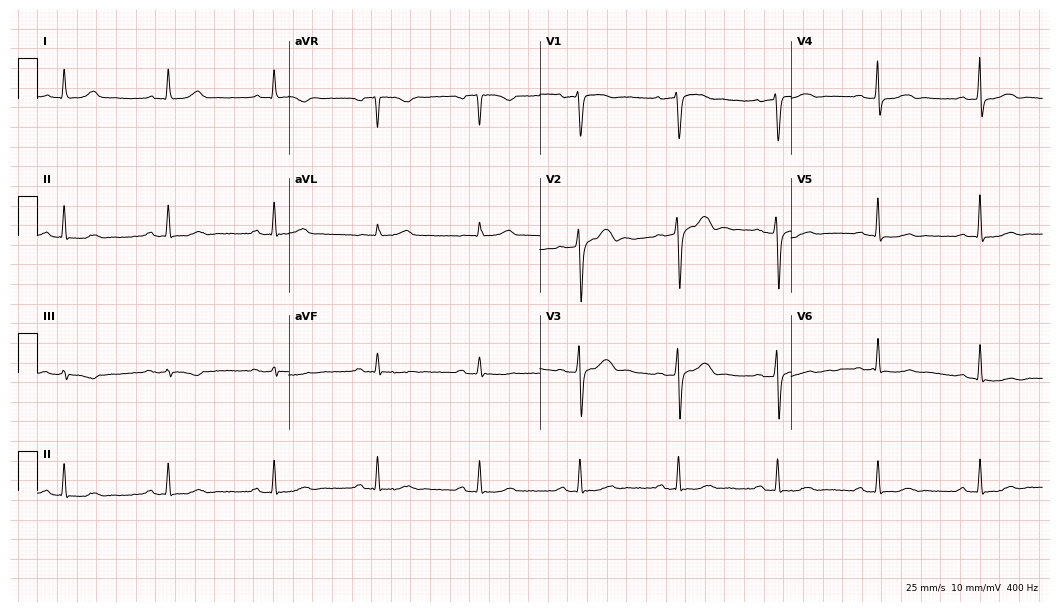
ECG — a male, 50 years old. Screened for six findings — first-degree AV block, right bundle branch block (RBBB), left bundle branch block (LBBB), sinus bradycardia, atrial fibrillation (AF), sinus tachycardia — none is recorded.